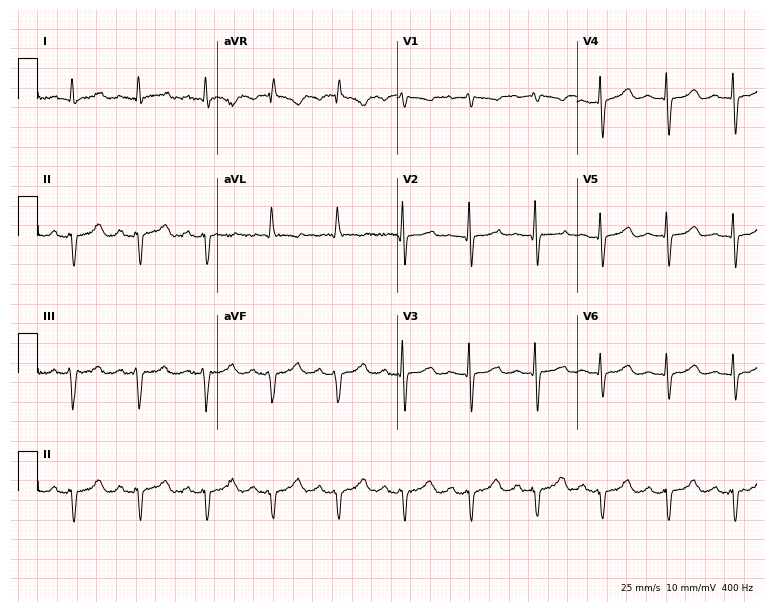
Standard 12-lead ECG recorded from a female patient, 68 years old. None of these six findings is recorded: first-degree AV block, right bundle branch block, left bundle branch block, sinus bradycardia, atrial fibrillation, sinus tachycardia.